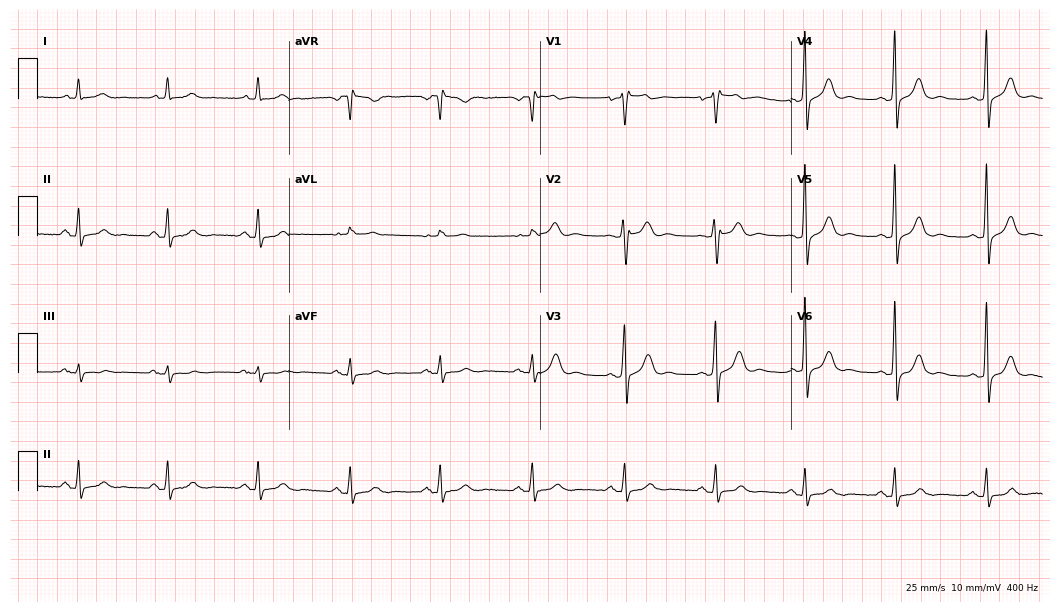
ECG (10.2-second recording at 400 Hz) — a male patient, 49 years old. Screened for six findings — first-degree AV block, right bundle branch block, left bundle branch block, sinus bradycardia, atrial fibrillation, sinus tachycardia — none is recorded. Findings outside these six are not listed.